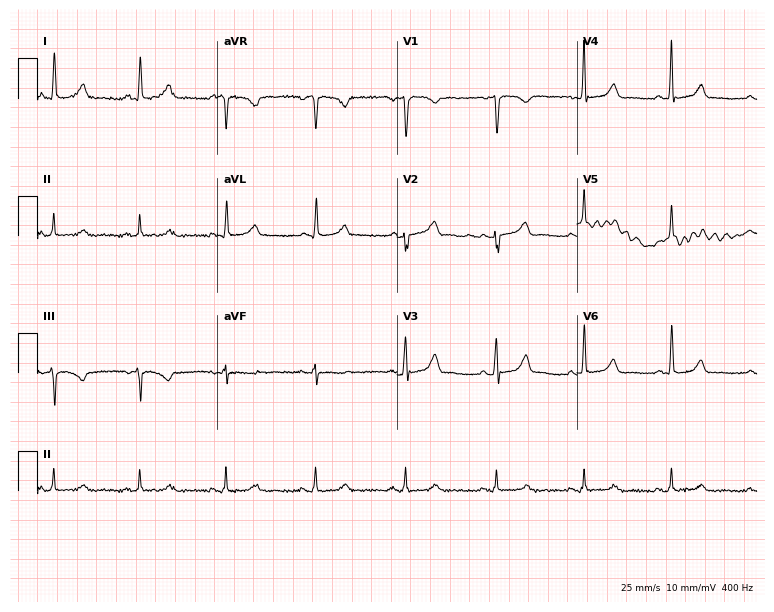
Standard 12-lead ECG recorded from a female, 52 years old (7.3-second recording at 400 Hz). Read as a normal ECG.